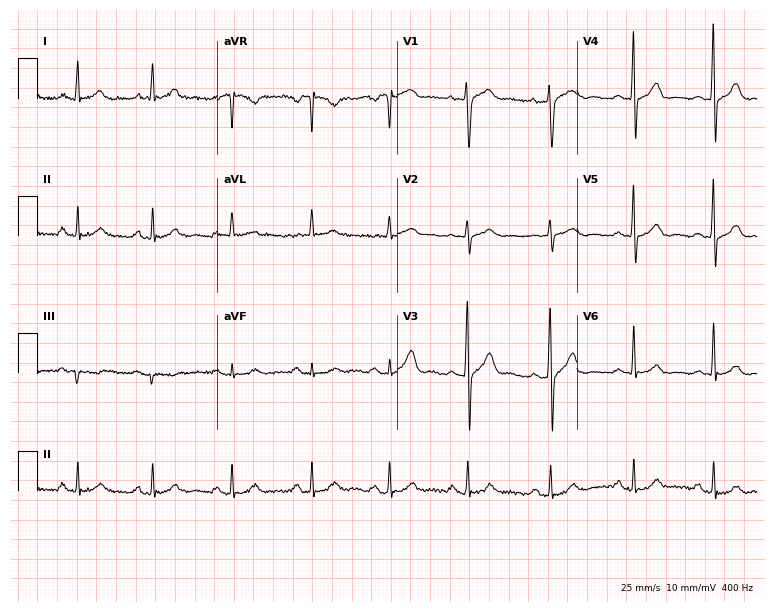
Standard 12-lead ECG recorded from a man, 40 years old (7.3-second recording at 400 Hz). Read as a normal ECG.